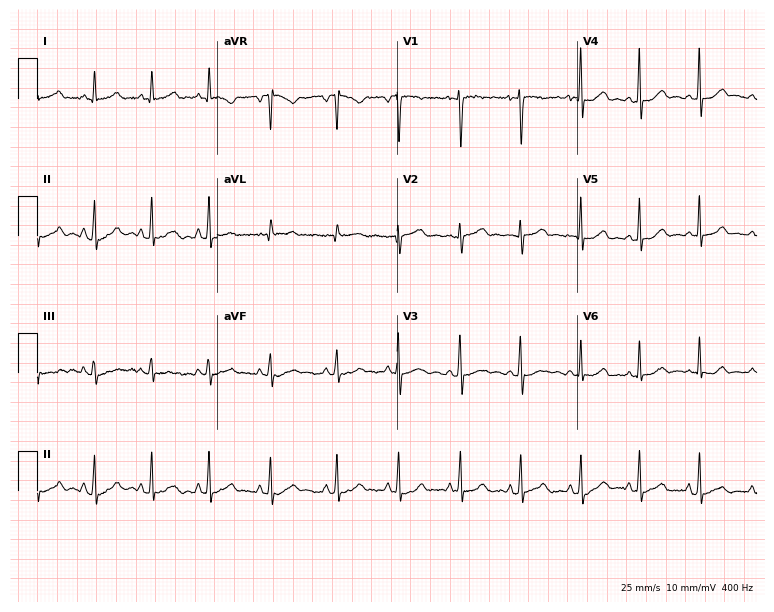
Electrocardiogram, a female patient, 17 years old. Overall reading on record: normal ECG.